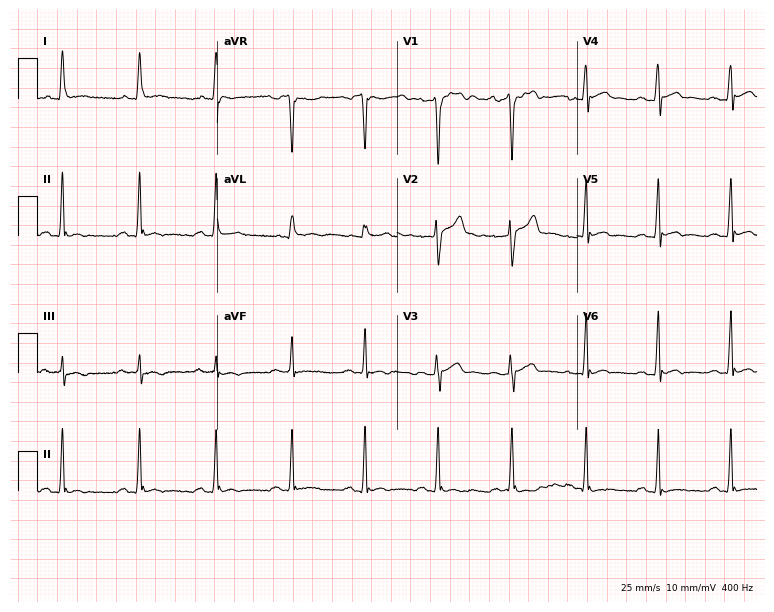
ECG — a male patient, 29 years old. Labelled as a normal ECG.